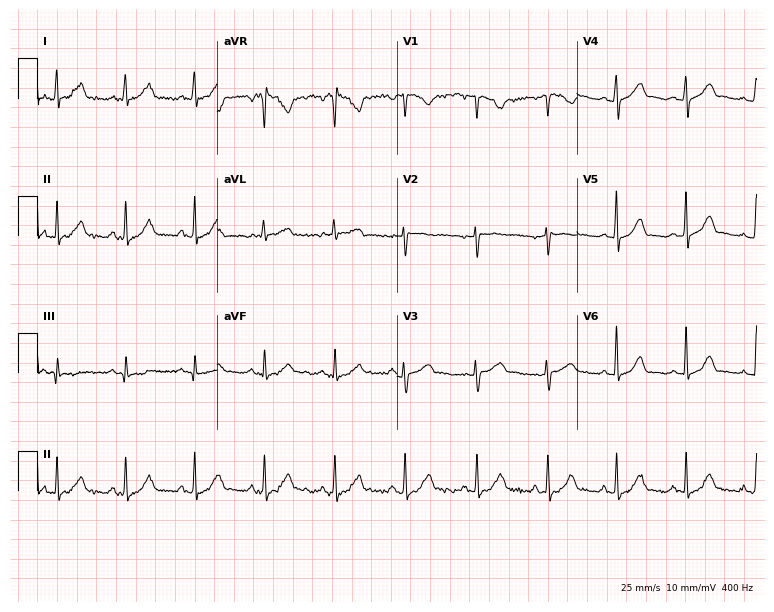
Resting 12-lead electrocardiogram (7.3-second recording at 400 Hz). Patient: a 37-year-old female. Read as a normal ECG.